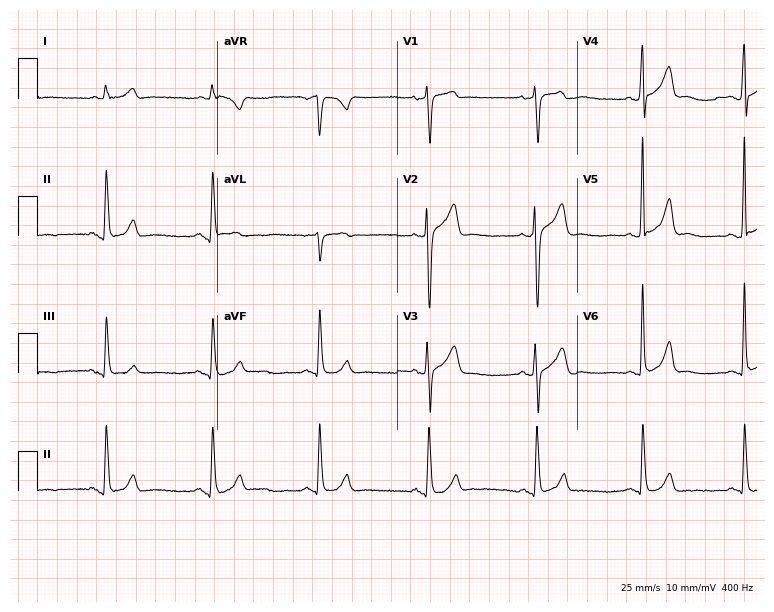
Standard 12-lead ECG recorded from a 73-year-old man (7.3-second recording at 400 Hz). Read as a normal ECG.